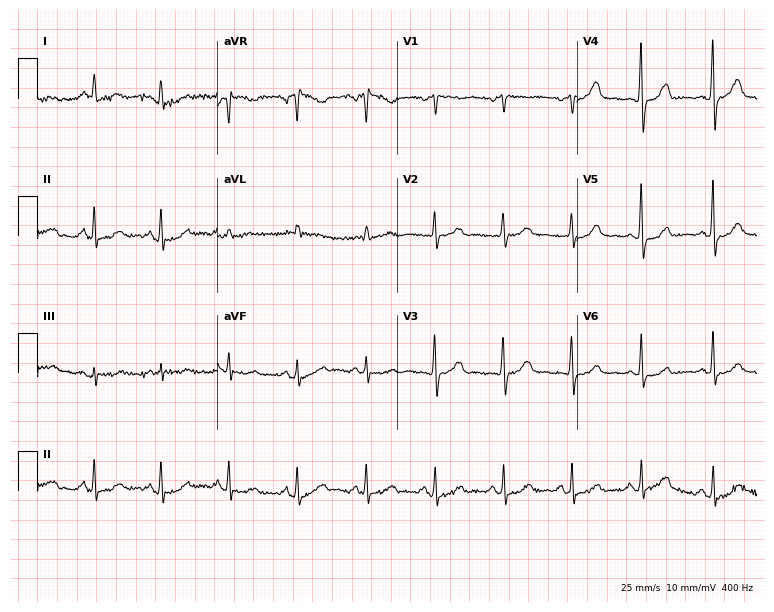
12-lead ECG from a woman, 64 years old. Recorded interpretation: within normal limits.